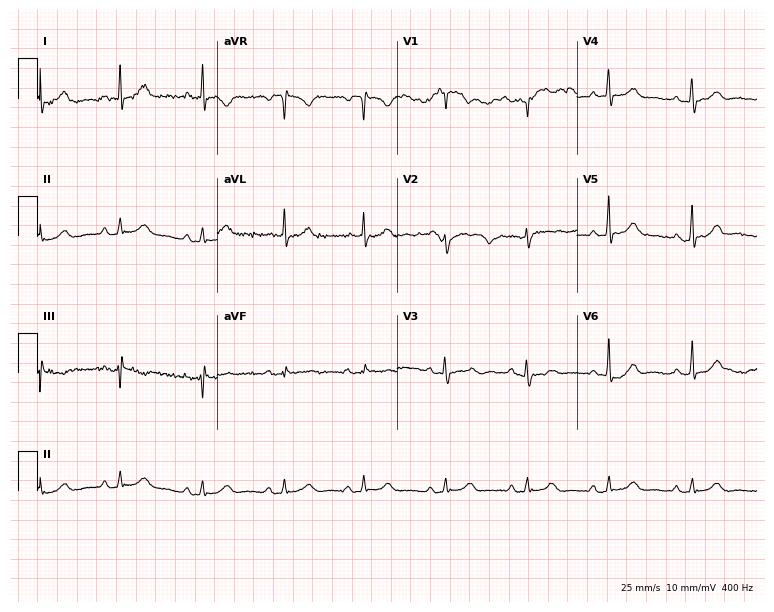
Resting 12-lead electrocardiogram (7.3-second recording at 400 Hz). Patient: a woman, 46 years old. Read as a normal ECG.